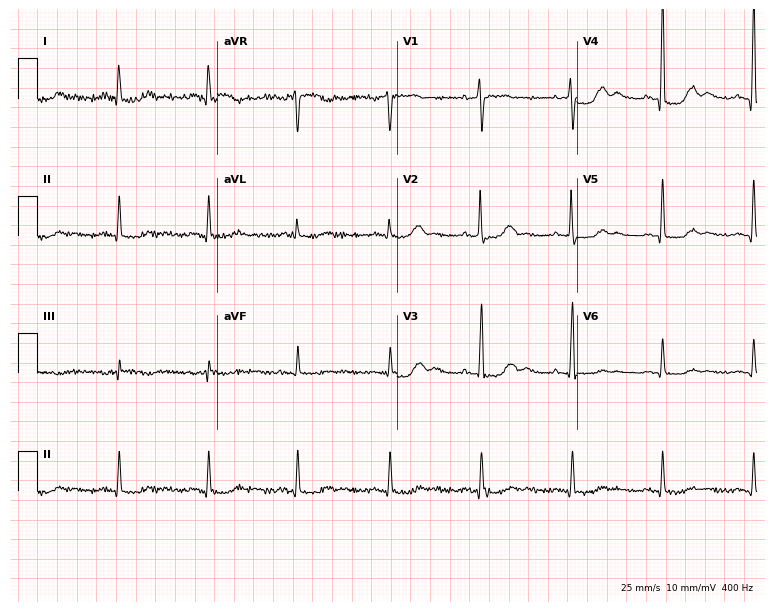
12-lead ECG from a 78-year-old female. No first-degree AV block, right bundle branch block, left bundle branch block, sinus bradycardia, atrial fibrillation or sinus tachycardia recorded for this tracing. Findings outside these six are not listed.